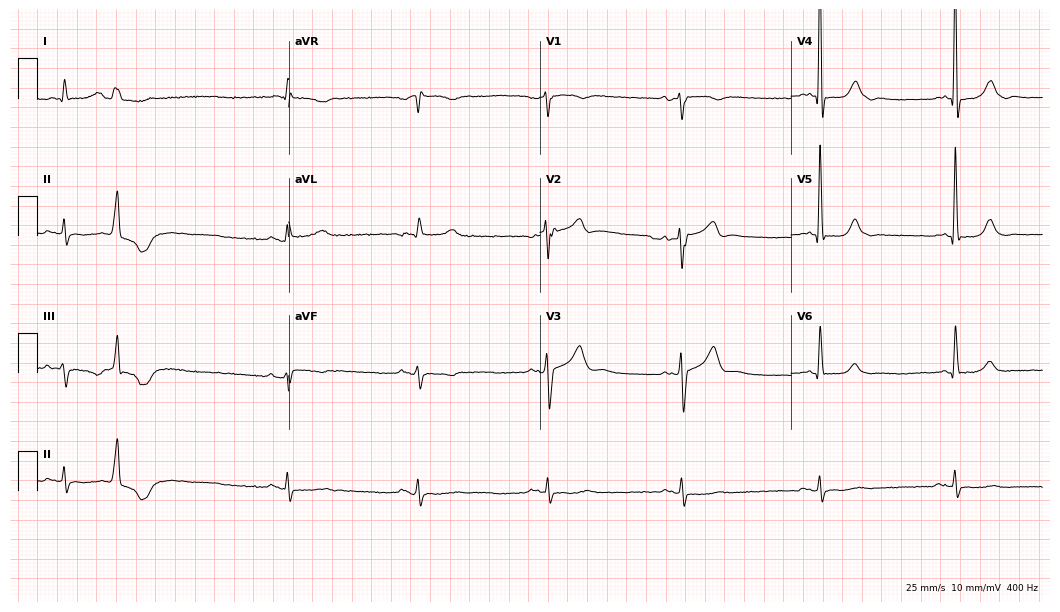
Electrocardiogram (10.2-second recording at 400 Hz), a male patient, 68 years old. Of the six screened findings (first-degree AV block, right bundle branch block, left bundle branch block, sinus bradycardia, atrial fibrillation, sinus tachycardia), none is recorded. Only these six findings were labelled.